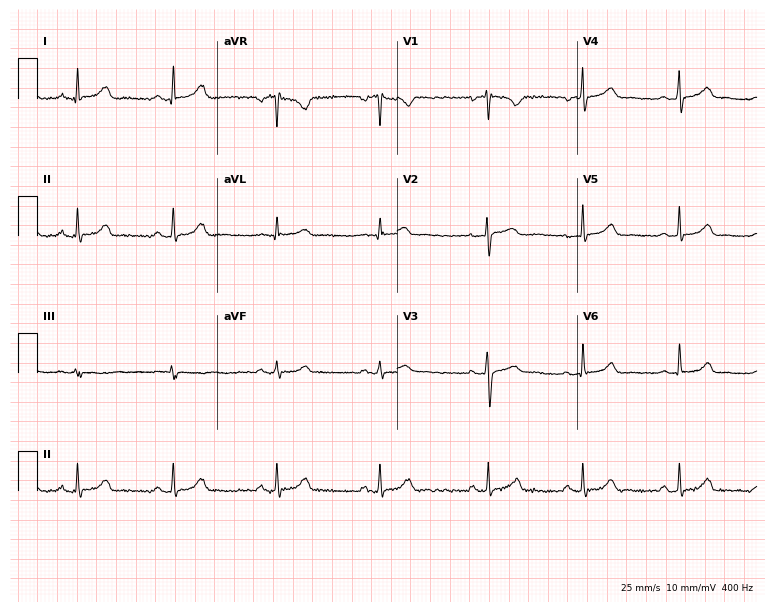
12-lead ECG from a woman, 26 years old. Recorded interpretation: within normal limits.